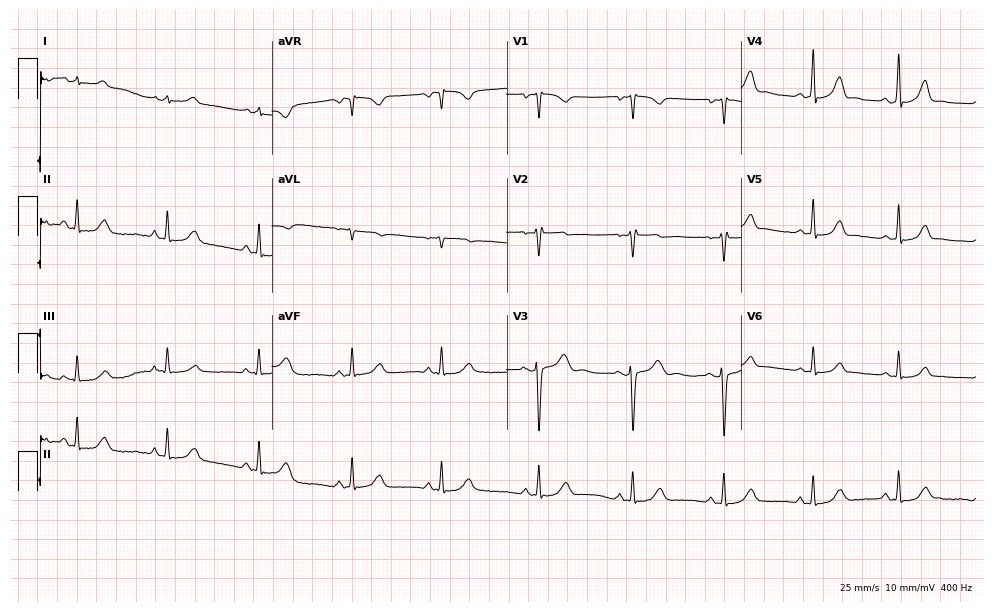
12-lead ECG from a 20-year-old woman (9.6-second recording at 400 Hz). No first-degree AV block, right bundle branch block (RBBB), left bundle branch block (LBBB), sinus bradycardia, atrial fibrillation (AF) or sinus tachycardia recorded for this tracing. Other findings, if any, are not listed.